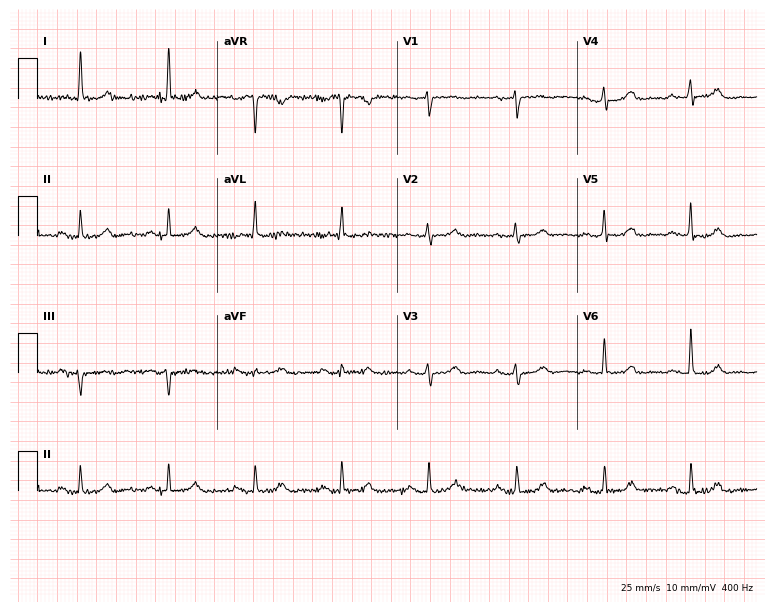
12-lead ECG from a female patient, 72 years old. Screened for six findings — first-degree AV block, right bundle branch block, left bundle branch block, sinus bradycardia, atrial fibrillation, sinus tachycardia — none is recorded. Other findings, if any, are not listed.